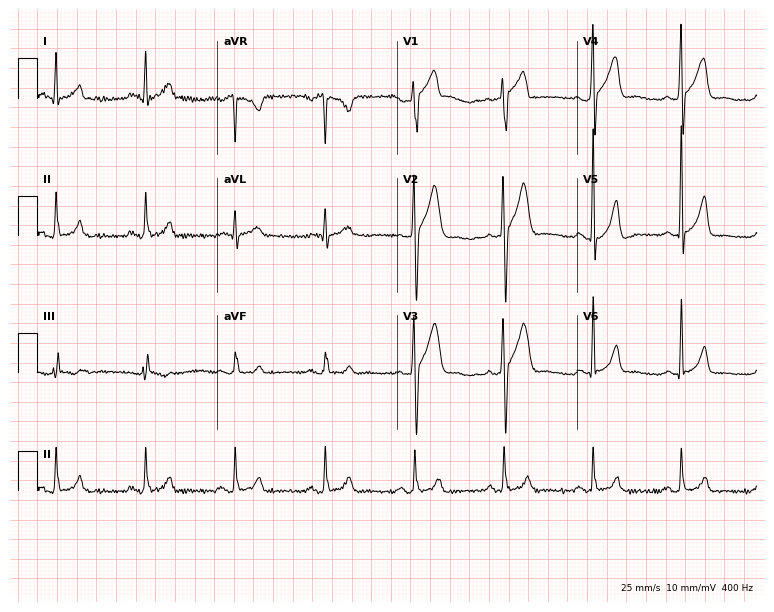
12-lead ECG from a 38-year-old man. Labelled as a normal ECG.